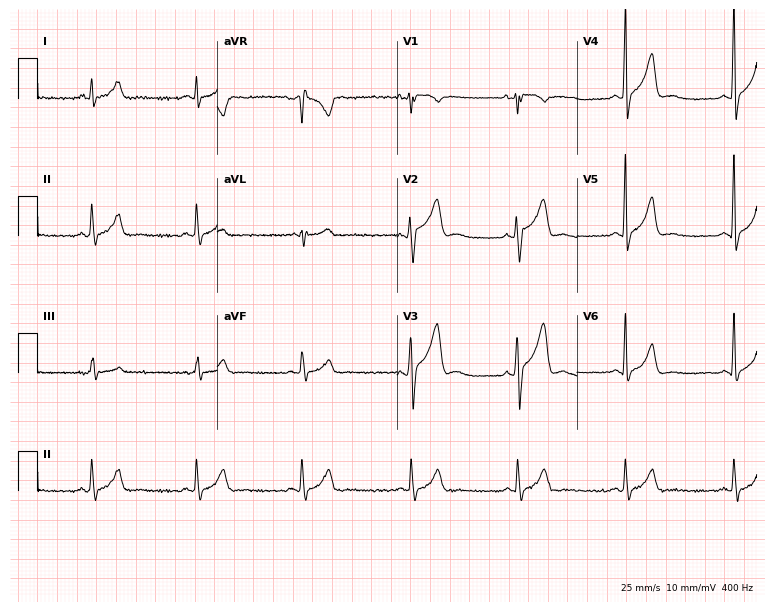
Standard 12-lead ECG recorded from a 22-year-old male patient (7.3-second recording at 400 Hz). Read as a normal ECG.